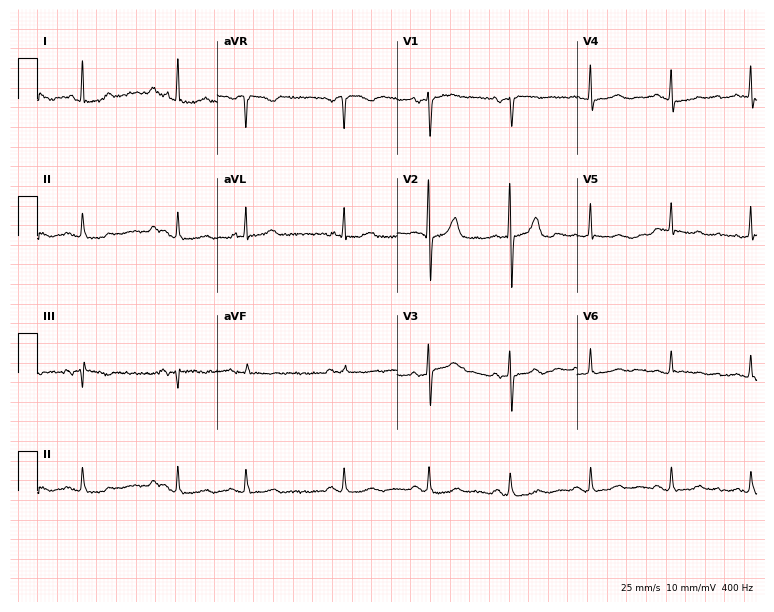
Resting 12-lead electrocardiogram. Patient: a woman, 83 years old. None of these six findings is recorded: first-degree AV block, right bundle branch block, left bundle branch block, sinus bradycardia, atrial fibrillation, sinus tachycardia. Other findings, if any, are not listed.